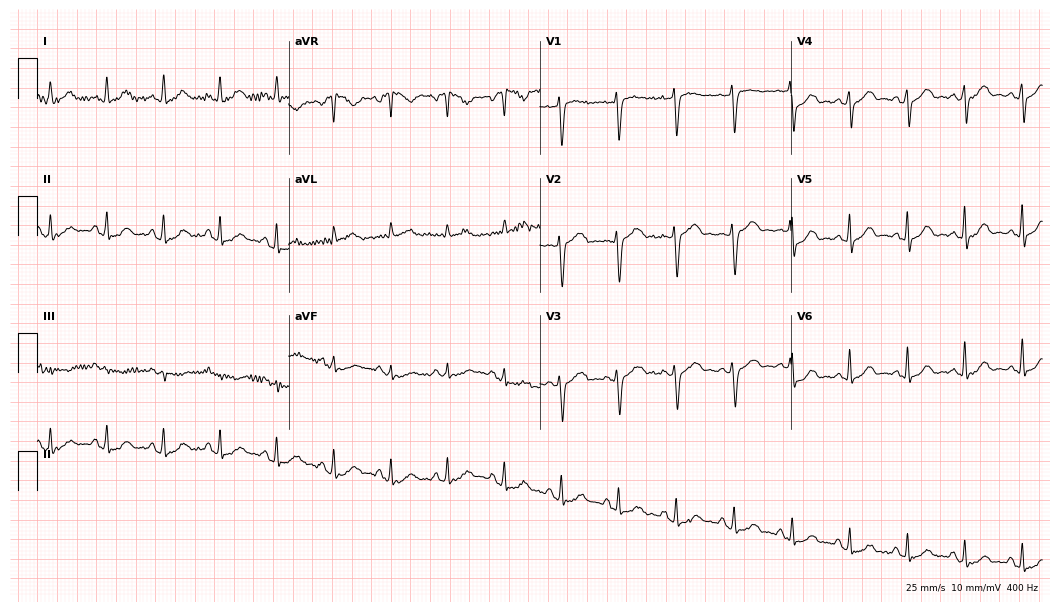
Standard 12-lead ECG recorded from a female patient, 46 years old. The tracing shows sinus tachycardia (a sinus rate of 100 beats per minute or more).